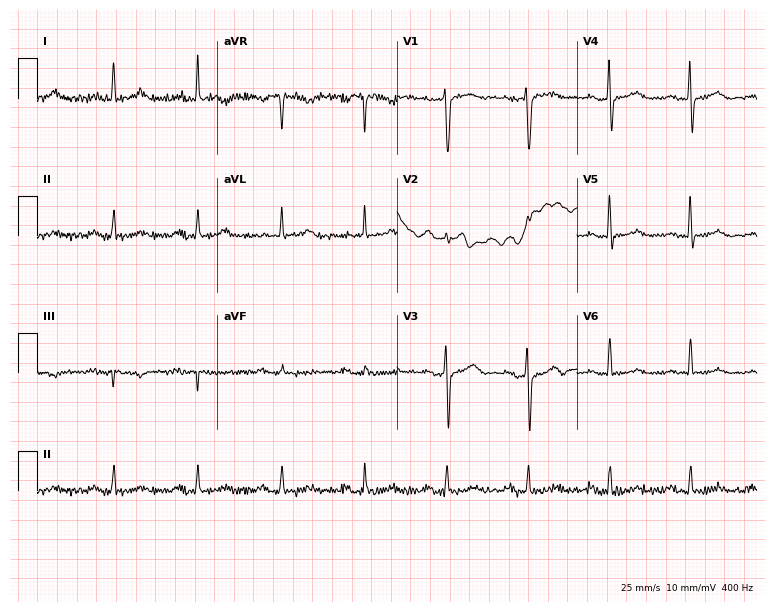
Standard 12-lead ECG recorded from a male patient, 67 years old. Read as a normal ECG.